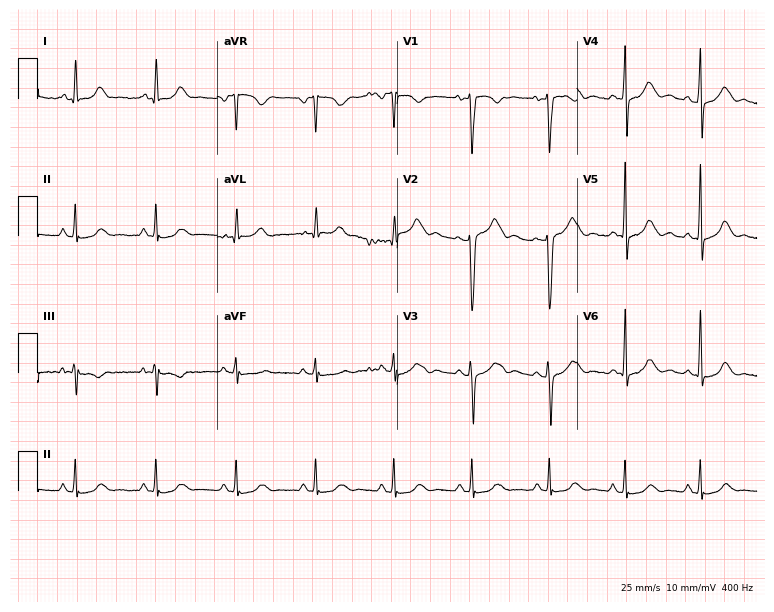
12-lead ECG from a woman, 31 years old. Recorded interpretation: within normal limits.